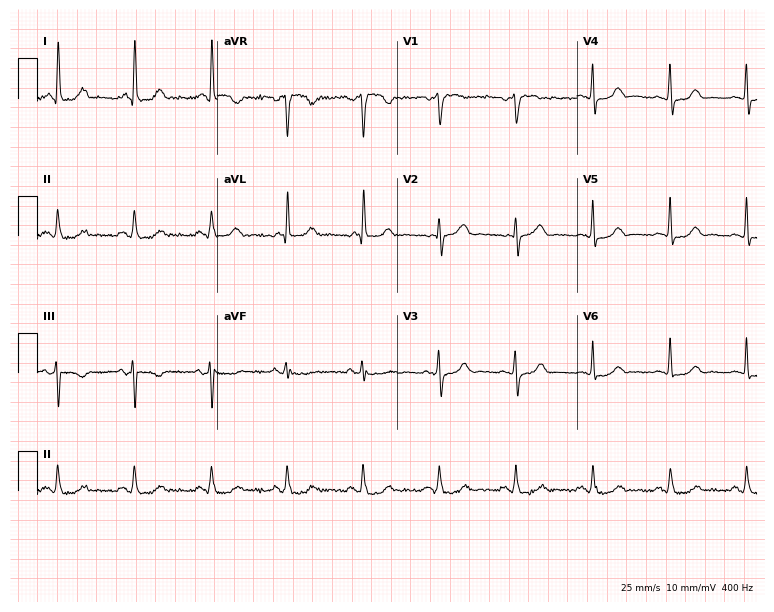
12-lead ECG (7.3-second recording at 400 Hz) from a woman, 74 years old. Screened for six findings — first-degree AV block, right bundle branch block, left bundle branch block, sinus bradycardia, atrial fibrillation, sinus tachycardia — none is recorded. Only these six findings were labelled.